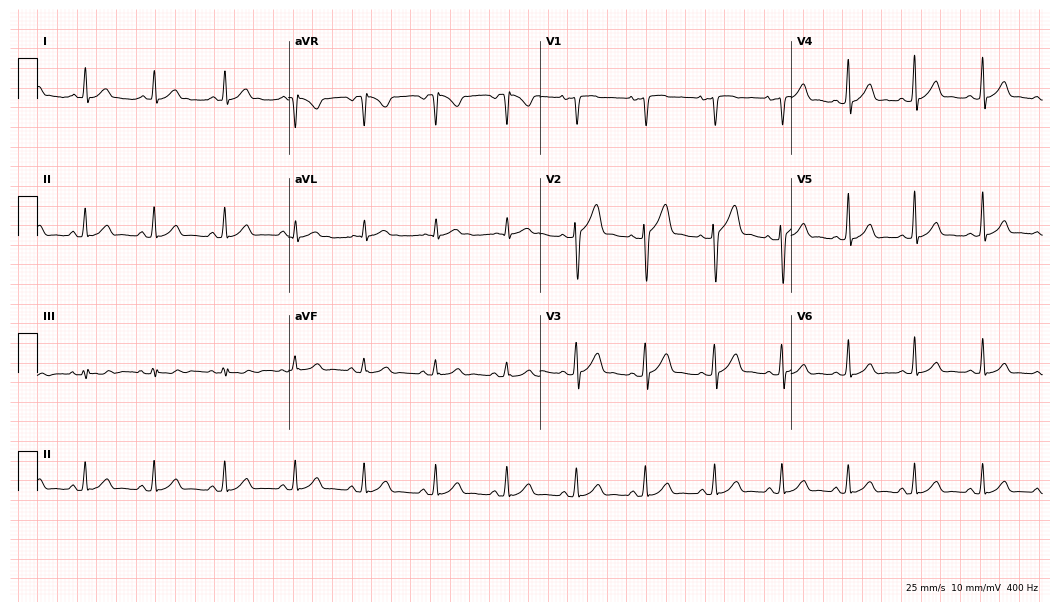
Resting 12-lead electrocardiogram (10.2-second recording at 400 Hz). Patient: a 28-year-old male. Read as a normal ECG.